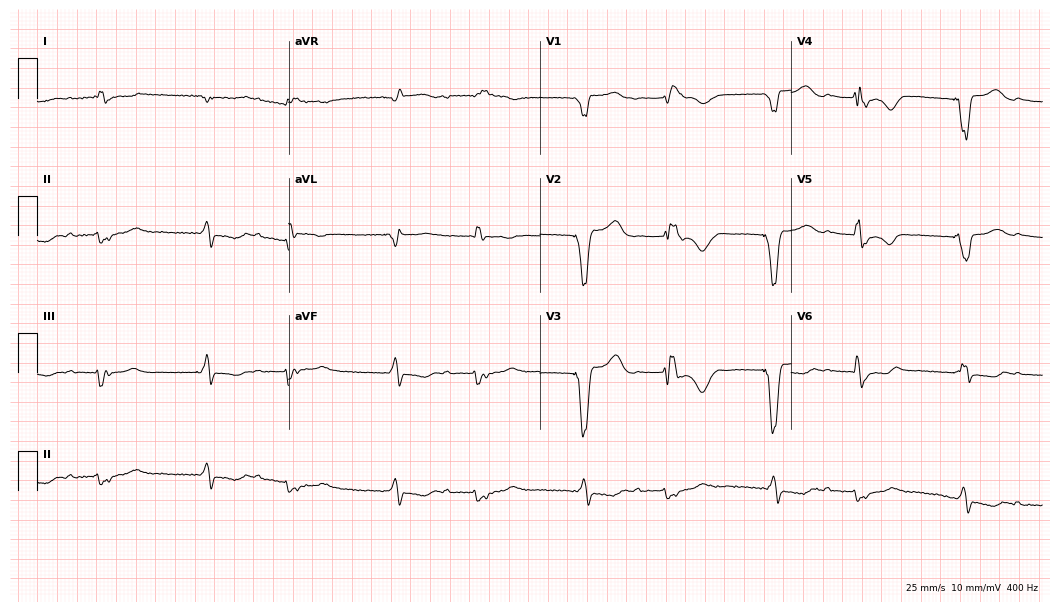
Electrocardiogram (10.2-second recording at 400 Hz), a man, 72 years old. Of the six screened findings (first-degree AV block, right bundle branch block, left bundle branch block, sinus bradycardia, atrial fibrillation, sinus tachycardia), none is recorded. Other findings, if any, are not listed.